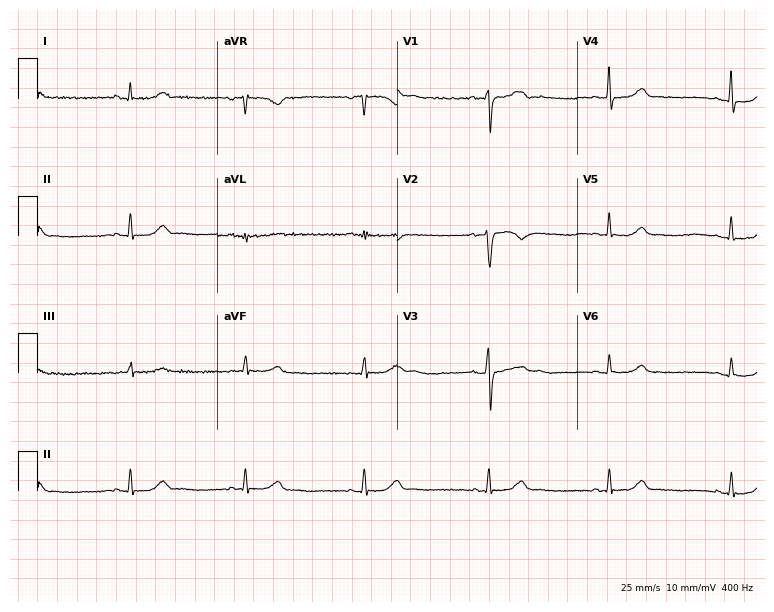
12-lead ECG from a female, 45 years old (7.3-second recording at 400 Hz). Shows sinus bradycardia (a sinus rate of 50 beats per minute or less).